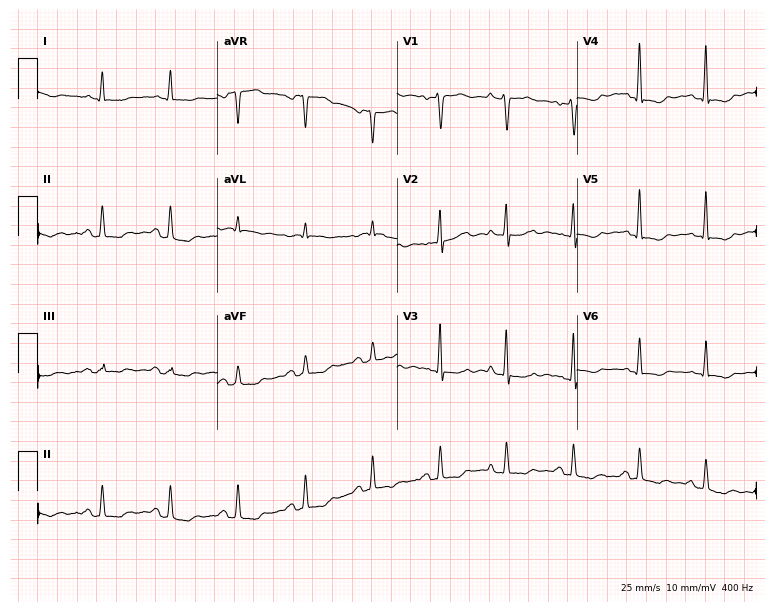
12-lead ECG from a woman, 67 years old. Screened for six findings — first-degree AV block, right bundle branch block (RBBB), left bundle branch block (LBBB), sinus bradycardia, atrial fibrillation (AF), sinus tachycardia — none is recorded. Other findings, if any, are not listed.